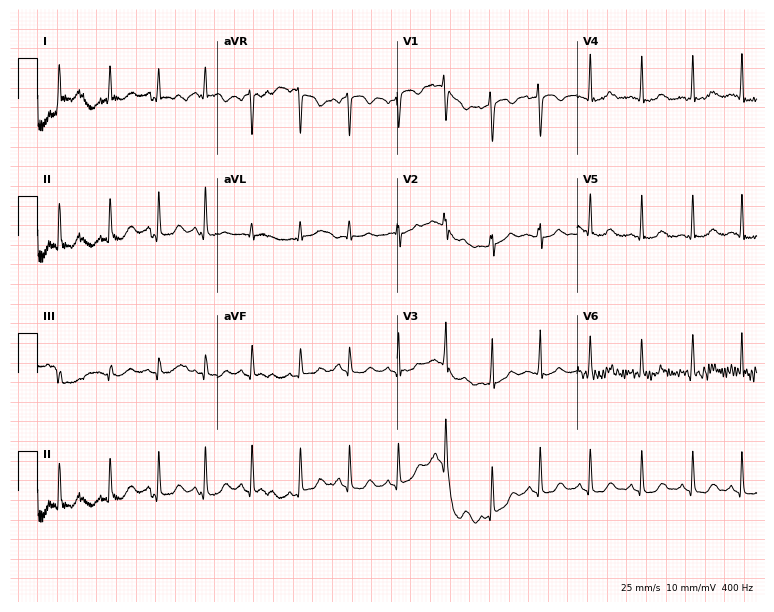
12-lead ECG from a 21-year-old woman (7.3-second recording at 400 Hz). Shows sinus tachycardia (a sinus rate of 100 beats per minute or more).